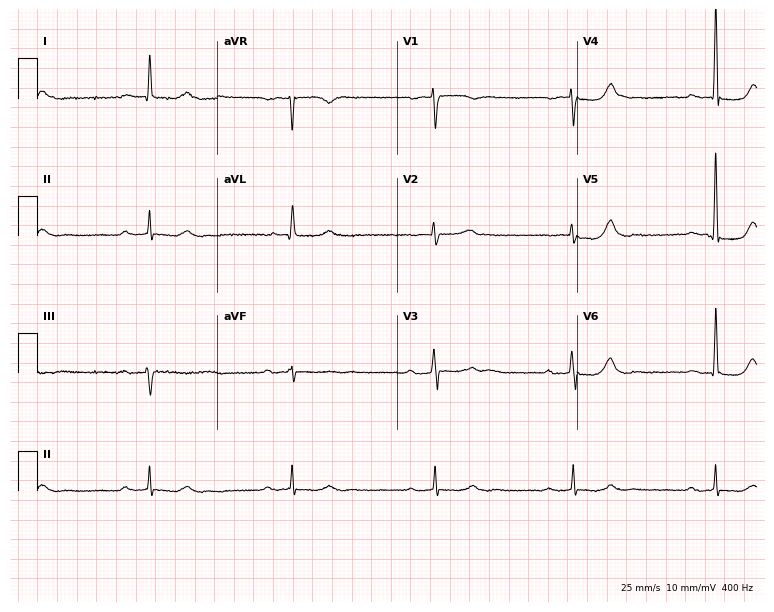
ECG — a 74-year-old man. Findings include first-degree AV block, sinus bradycardia (a sinus rate of 50 beats per minute or less).